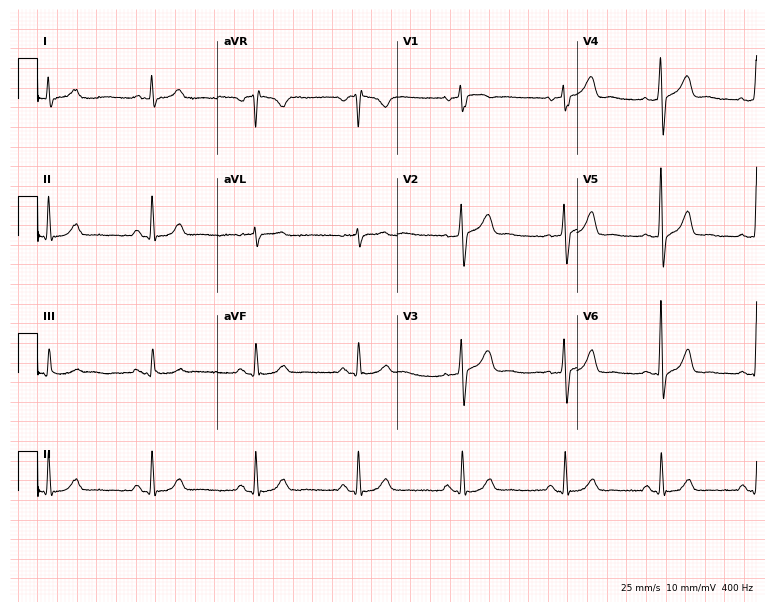
ECG — a male, 59 years old. Labelled as a normal ECG.